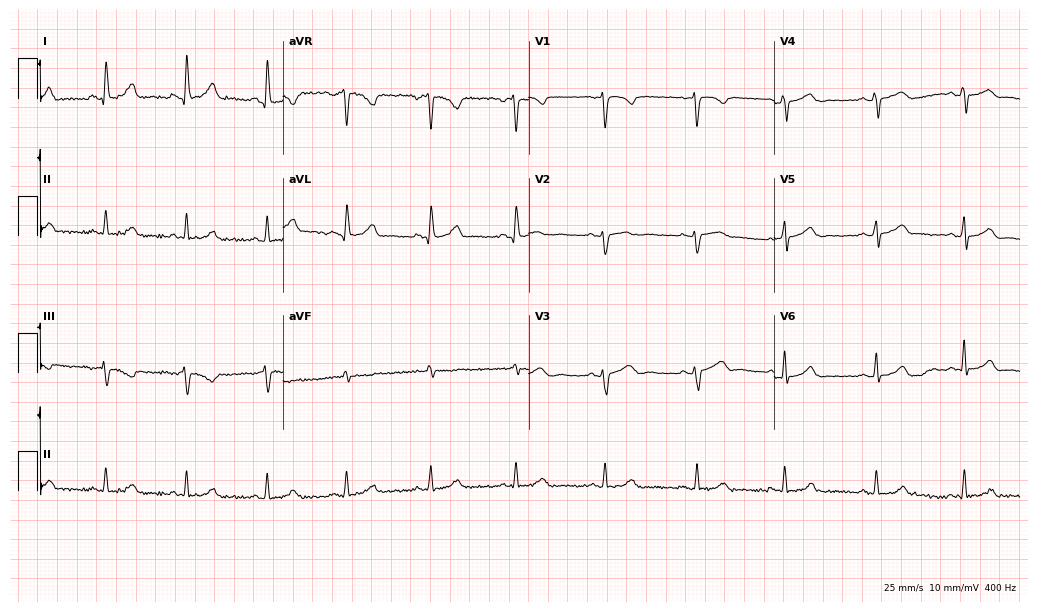
12-lead ECG (10-second recording at 400 Hz) from a 30-year-old female patient. Screened for six findings — first-degree AV block, right bundle branch block, left bundle branch block, sinus bradycardia, atrial fibrillation, sinus tachycardia — none is recorded.